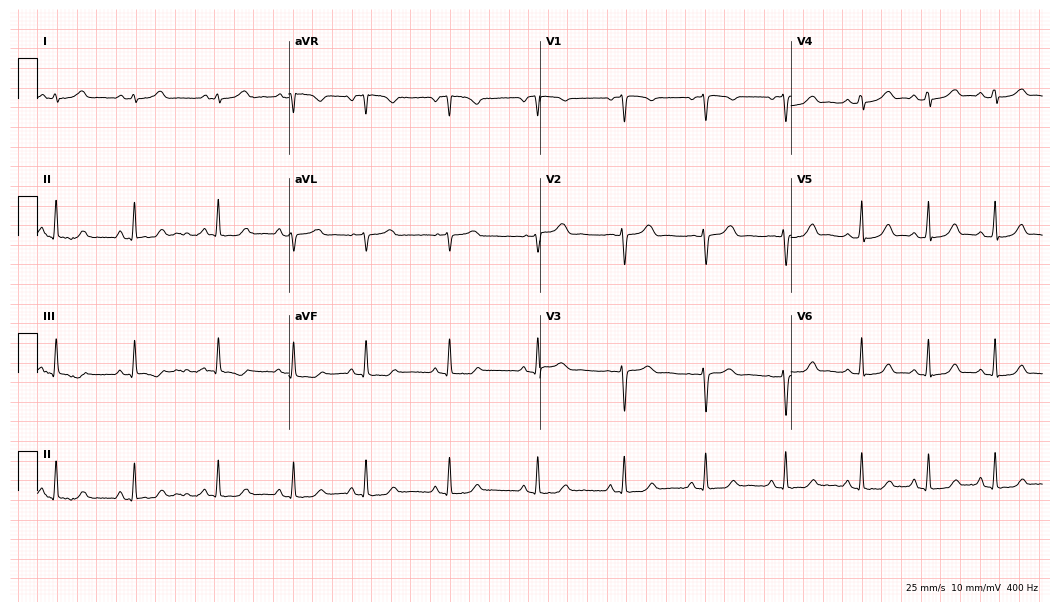
Electrocardiogram, a woman, 23 years old. Overall reading on record: normal ECG.